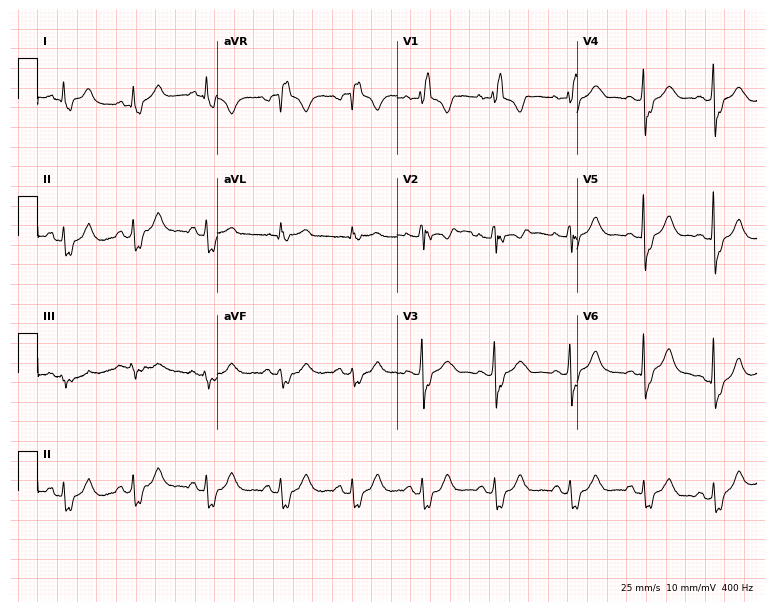
ECG (7.3-second recording at 400 Hz) — a 57-year-old female. Findings include right bundle branch block.